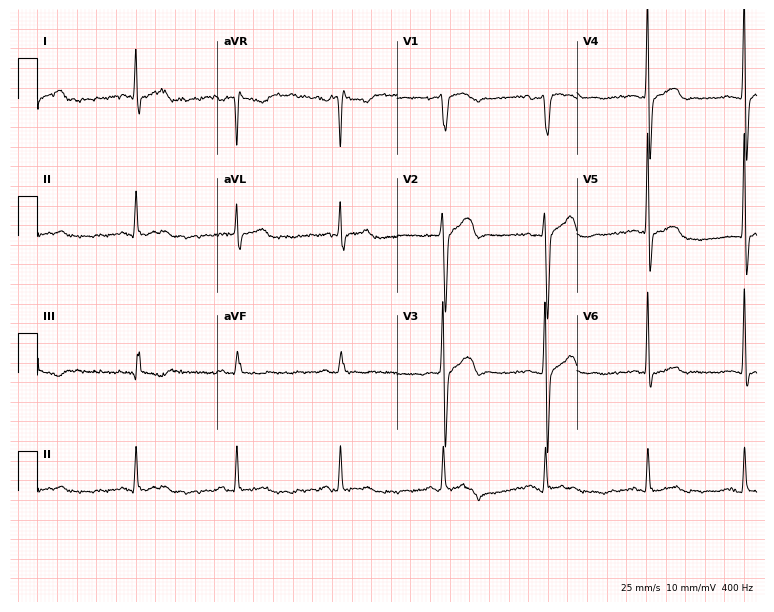
12-lead ECG from a 44-year-old male patient (7.3-second recording at 400 Hz). No first-degree AV block, right bundle branch block (RBBB), left bundle branch block (LBBB), sinus bradycardia, atrial fibrillation (AF) or sinus tachycardia recorded for this tracing.